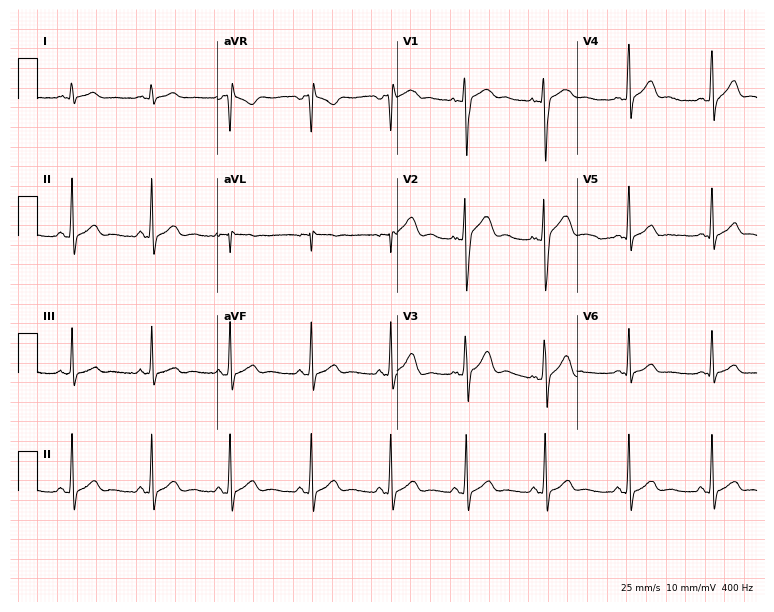
Resting 12-lead electrocardiogram (7.3-second recording at 400 Hz). Patient: a male, 24 years old. Read as a normal ECG.